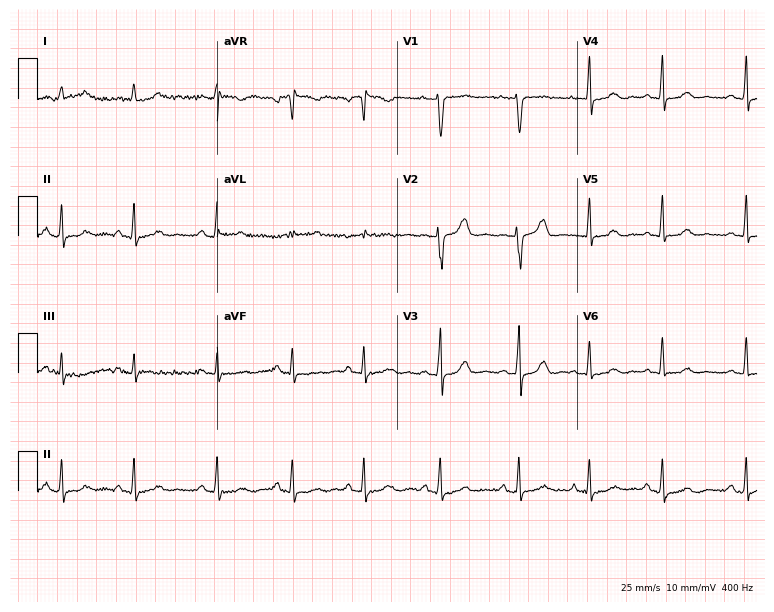
ECG — a female, 28 years old. Labelled as a normal ECG.